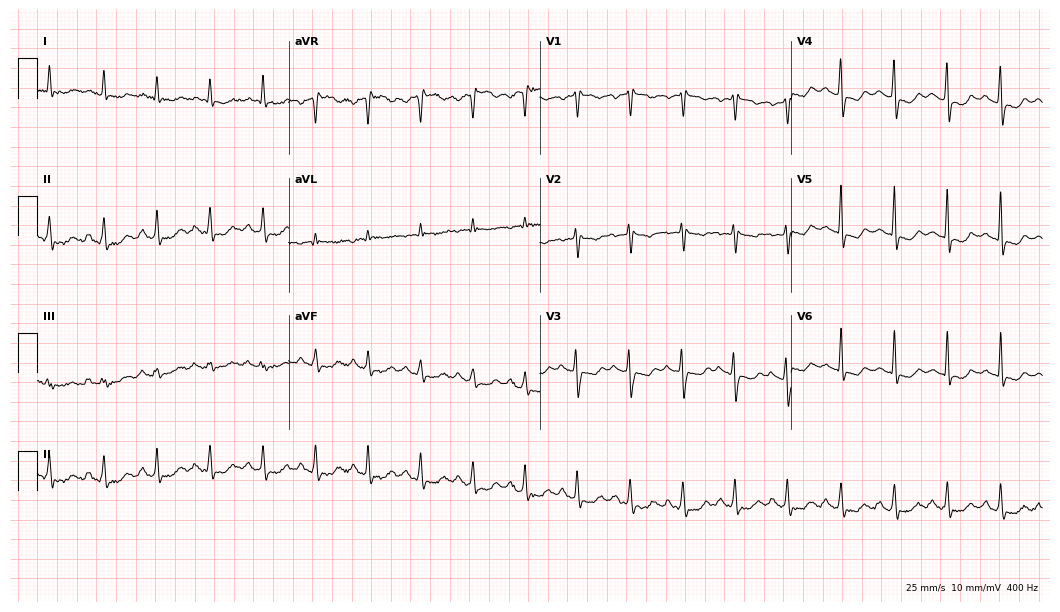
ECG (10.2-second recording at 400 Hz) — a 56-year-old female. Findings include sinus tachycardia (a sinus rate of 100 beats per minute or more).